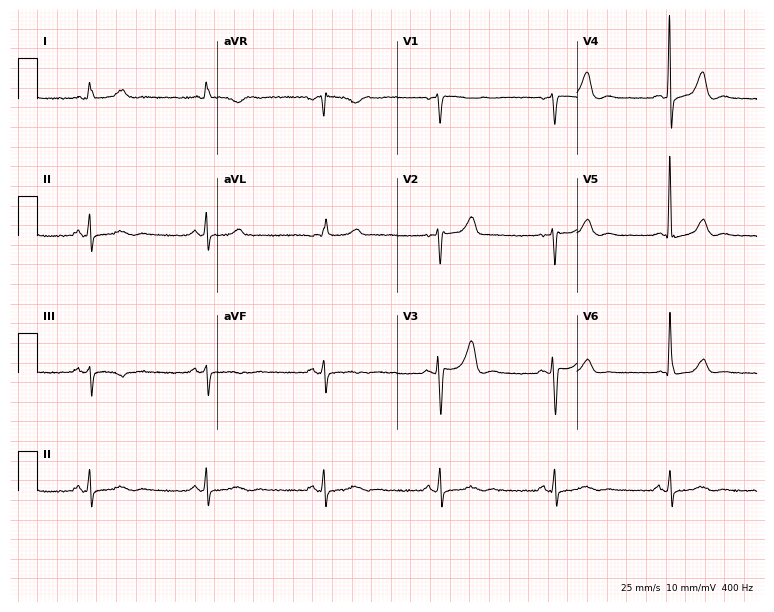
12-lead ECG (7.3-second recording at 400 Hz) from a female, 71 years old. Findings include sinus bradycardia (a sinus rate of 50 beats per minute or less).